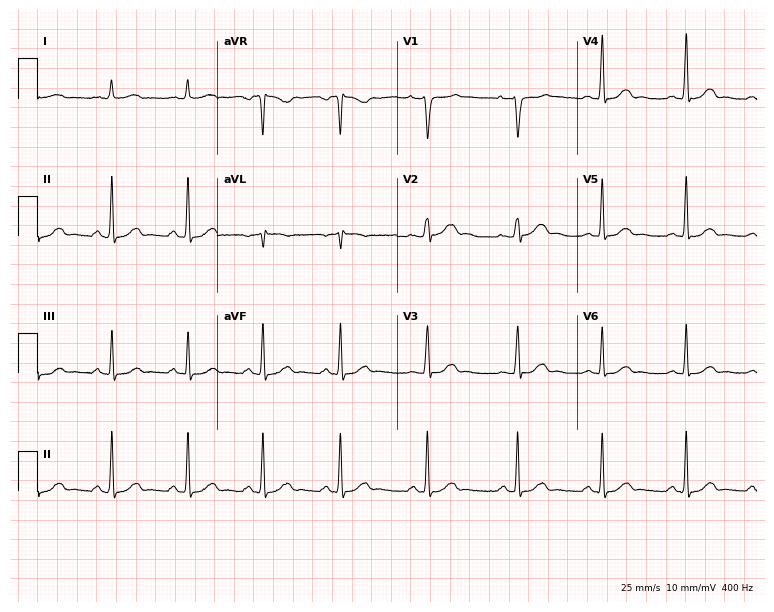
Resting 12-lead electrocardiogram (7.3-second recording at 400 Hz). Patient: a female, 32 years old. Read as a normal ECG.